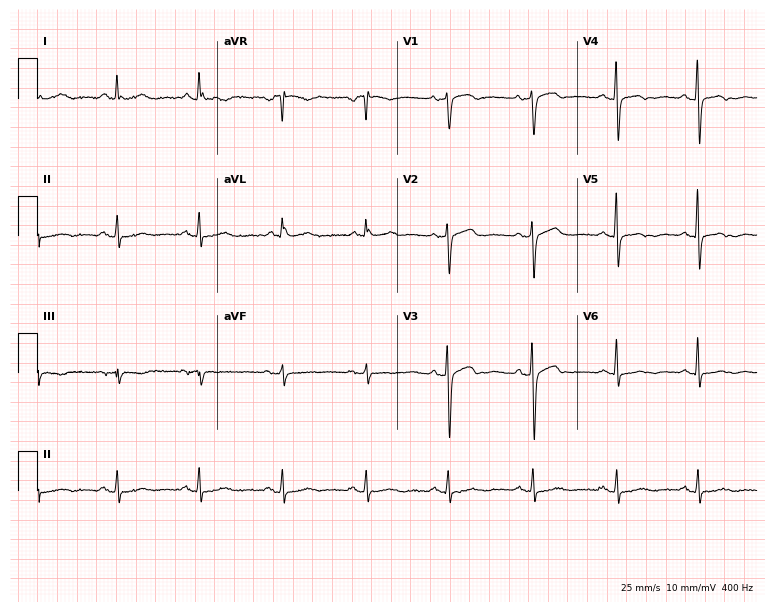
Standard 12-lead ECG recorded from a woman, 60 years old. None of these six findings is recorded: first-degree AV block, right bundle branch block, left bundle branch block, sinus bradycardia, atrial fibrillation, sinus tachycardia. Only these six findings were labelled.